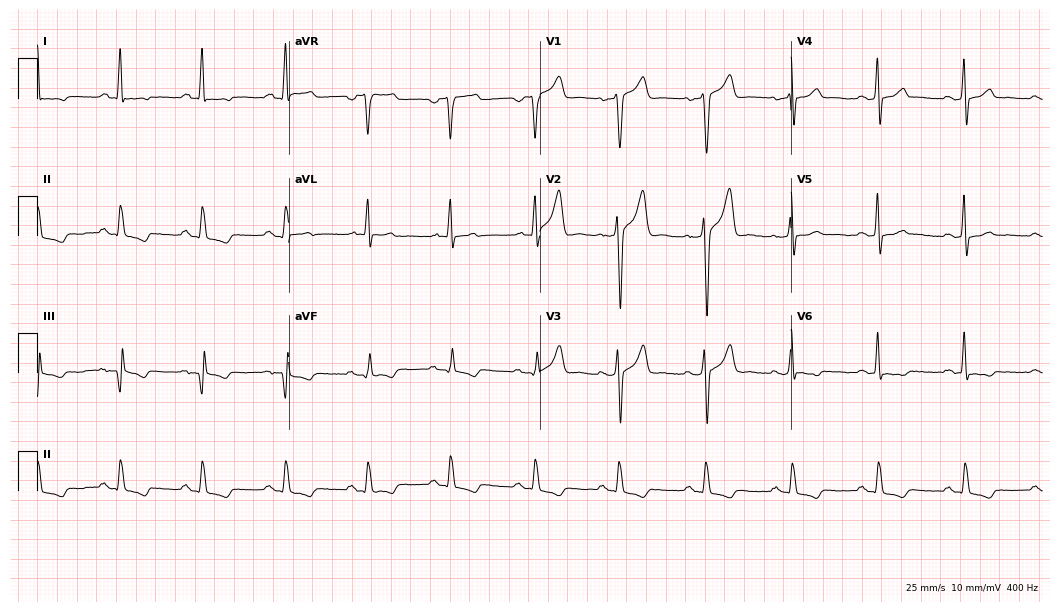
12-lead ECG from a male, 37 years old. No first-degree AV block, right bundle branch block, left bundle branch block, sinus bradycardia, atrial fibrillation or sinus tachycardia recorded for this tracing. Other findings, if any, are not listed.